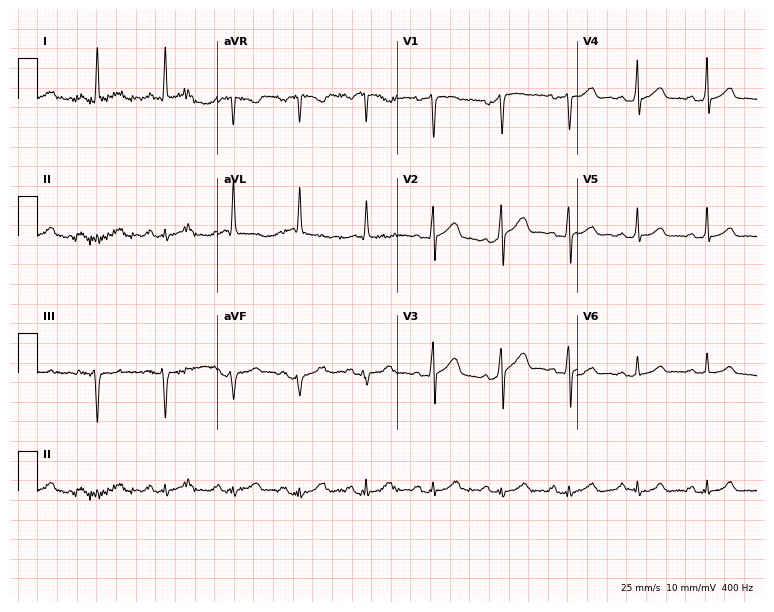
Resting 12-lead electrocardiogram (7.3-second recording at 400 Hz). Patient: a 49-year-old male. Read as a normal ECG.